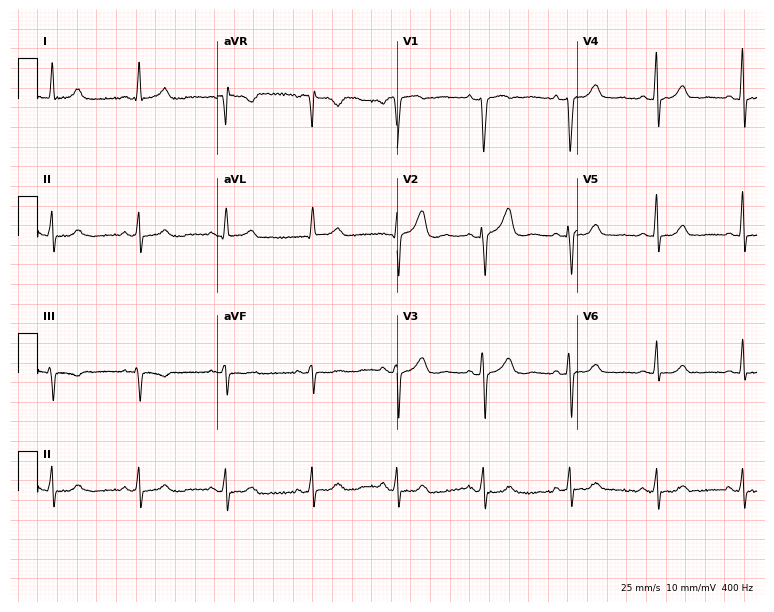
12-lead ECG from a female, 55 years old (7.3-second recording at 400 Hz). Recorded interpretation: within normal limits.